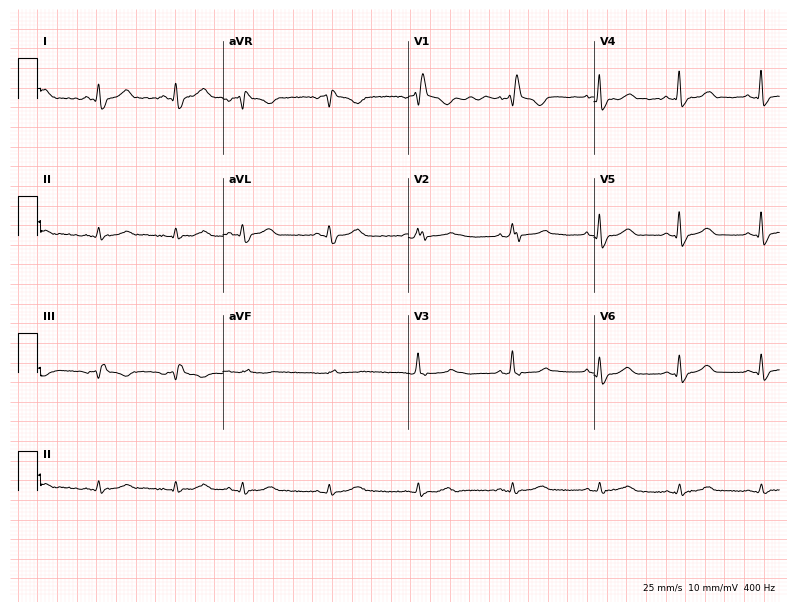
12-lead ECG (7.6-second recording at 400 Hz) from a male, 65 years old. Findings include right bundle branch block.